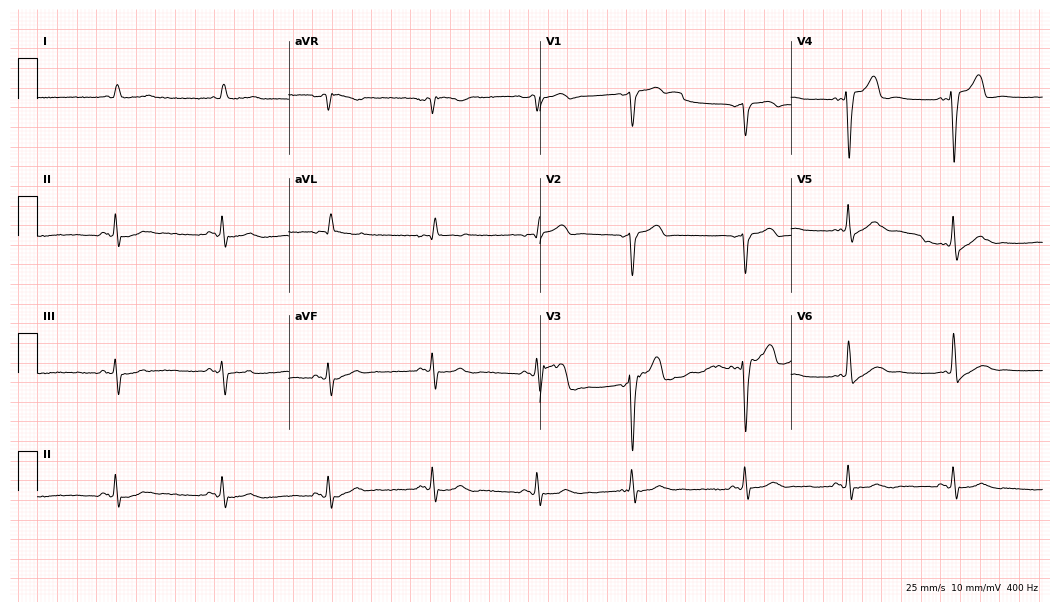
Standard 12-lead ECG recorded from a male patient, 83 years old. None of these six findings is recorded: first-degree AV block, right bundle branch block, left bundle branch block, sinus bradycardia, atrial fibrillation, sinus tachycardia.